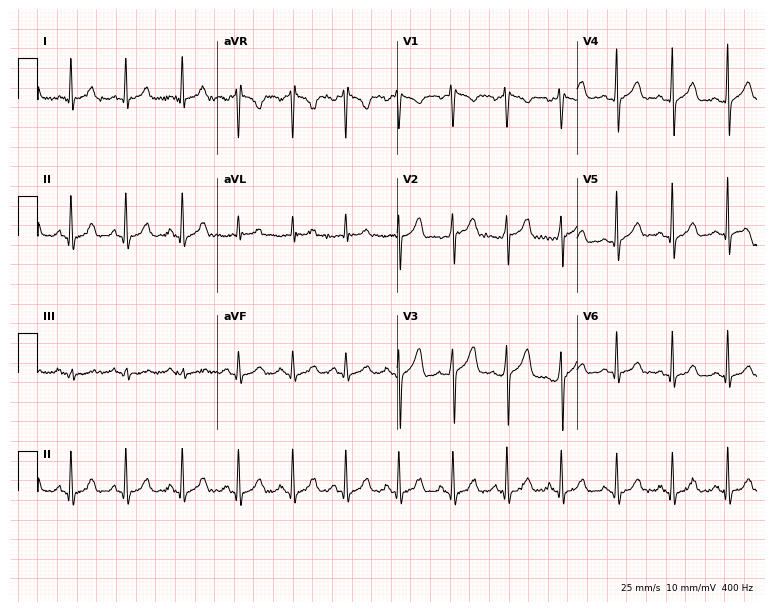
12-lead ECG (7.3-second recording at 400 Hz) from a 40-year-old man. Findings include sinus tachycardia (a sinus rate of 100 beats per minute or more).